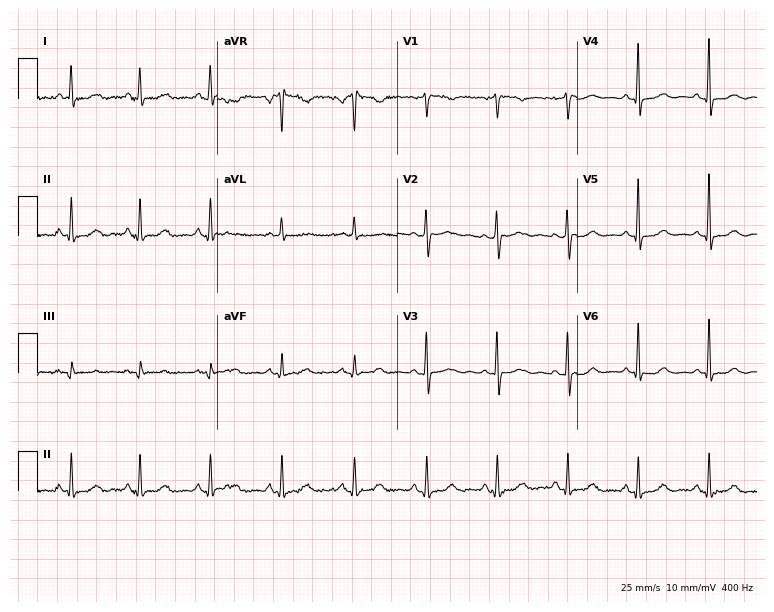
Electrocardiogram, a female, 57 years old. Of the six screened findings (first-degree AV block, right bundle branch block (RBBB), left bundle branch block (LBBB), sinus bradycardia, atrial fibrillation (AF), sinus tachycardia), none is recorded. Only these six findings were labelled.